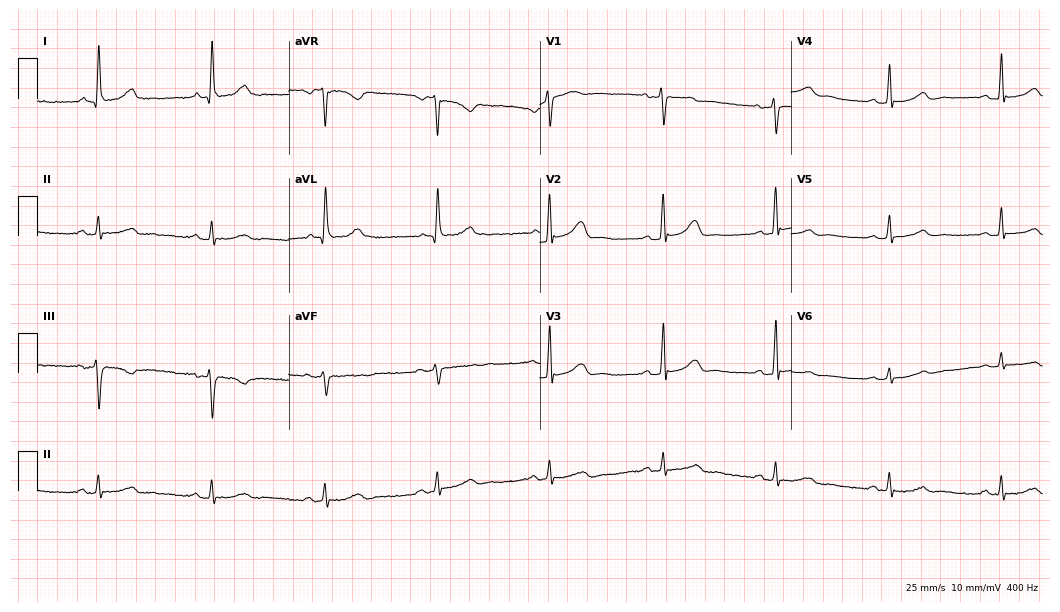
12-lead ECG from a 66-year-old female (10.2-second recording at 400 Hz). No first-degree AV block, right bundle branch block (RBBB), left bundle branch block (LBBB), sinus bradycardia, atrial fibrillation (AF) or sinus tachycardia recorded for this tracing.